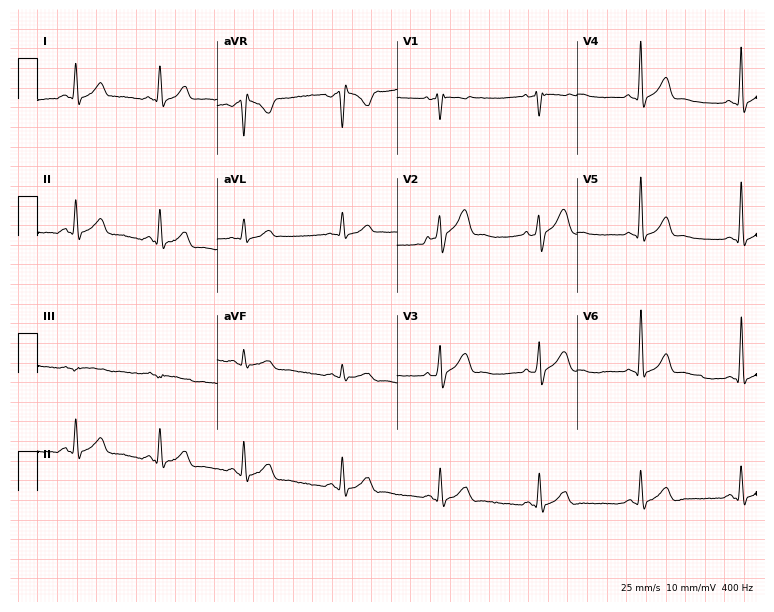
ECG — a man, 37 years old. Screened for six findings — first-degree AV block, right bundle branch block (RBBB), left bundle branch block (LBBB), sinus bradycardia, atrial fibrillation (AF), sinus tachycardia — none is recorded. Findings outside these six are not listed.